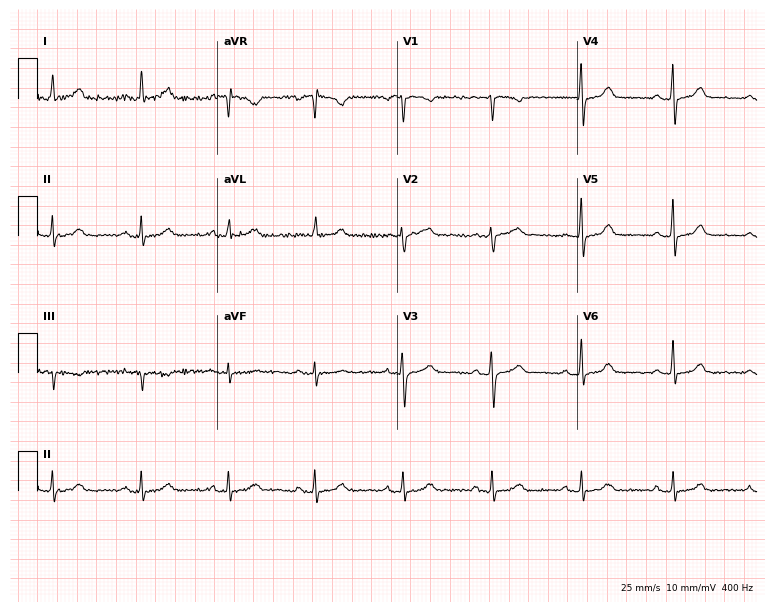
Resting 12-lead electrocardiogram (7.3-second recording at 400 Hz). Patient: a female, 47 years old. Read as a normal ECG.